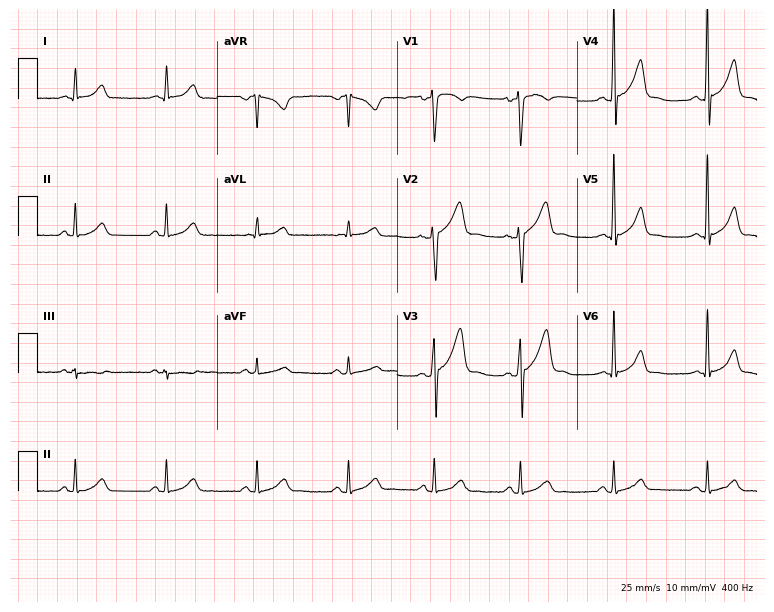
12-lead ECG from a 41-year-old male (7.3-second recording at 400 Hz). Recorded interpretation: within normal limits.